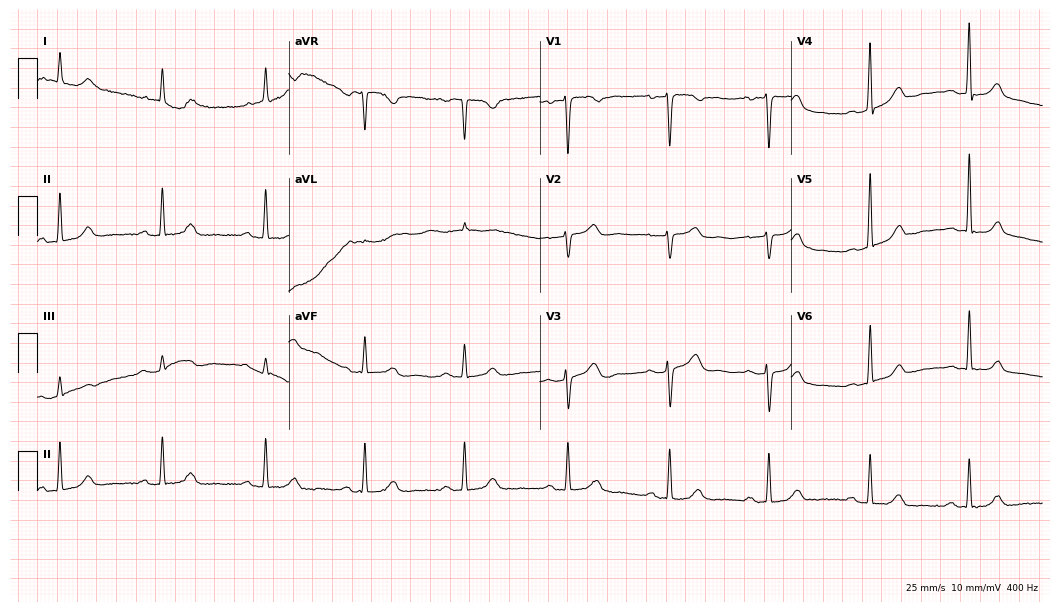
ECG (10.2-second recording at 400 Hz) — a female, 68 years old. Screened for six findings — first-degree AV block, right bundle branch block, left bundle branch block, sinus bradycardia, atrial fibrillation, sinus tachycardia — none is recorded. Findings outside these six are not listed.